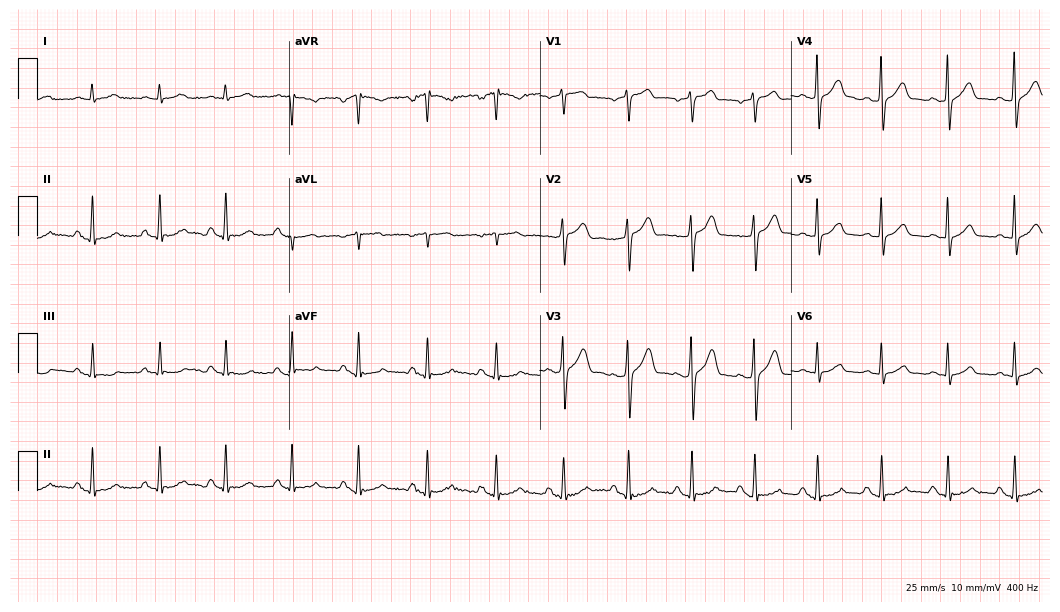
12-lead ECG (10.2-second recording at 400 Hz) from a male, 57 years old. Screened for six findings — first-degree AV block, right bundle branch block, left bundle branch block, sinus bradycardia, atrial fibrillation, sinus tachycardia — none is recorded. Findings outside these six are not listed.